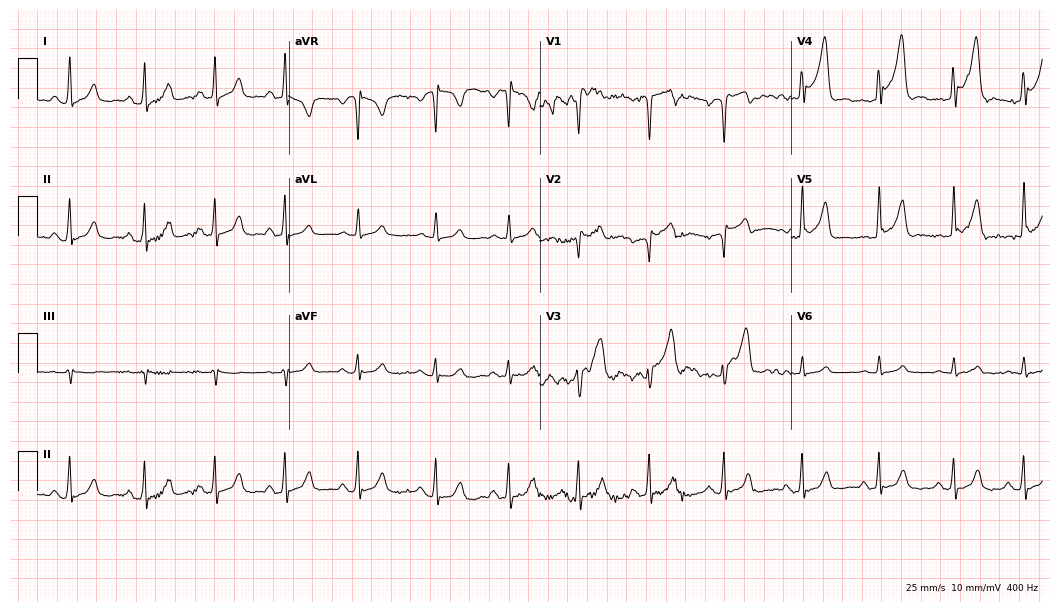
Electrocardiogram, a 31-year-old male patient. Of the six screened findings (first-degree AV block, right bundle branch block (RBBB), left bundle branch block (LBBB), sinus bradycardia, atrial fibrillation (AF), sinus tachycardia), none is recorded. Findings outside these six are not listed.